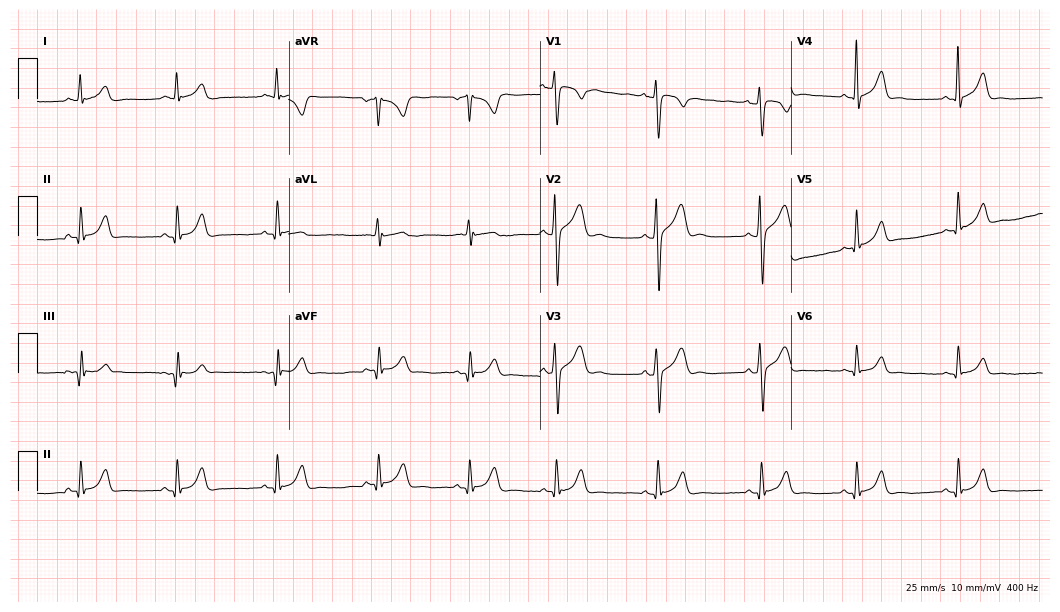
12-lead ECG from a man, 19 years old. Labelled as a normal ECG.